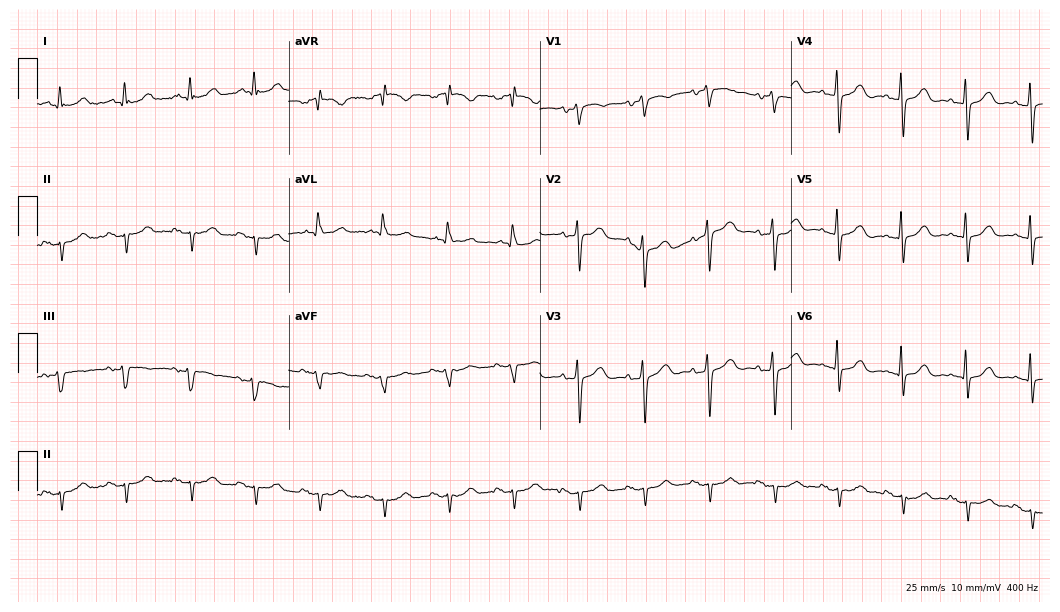
ECG — a woman, 78 years old. Screened for six findings — first-degree AV block, right bundle branch block, left bundle branch block, sinus bradycardia, atrial fibrillation, sinus tachycardia — none is recorded. Findings outside these six are not listed.